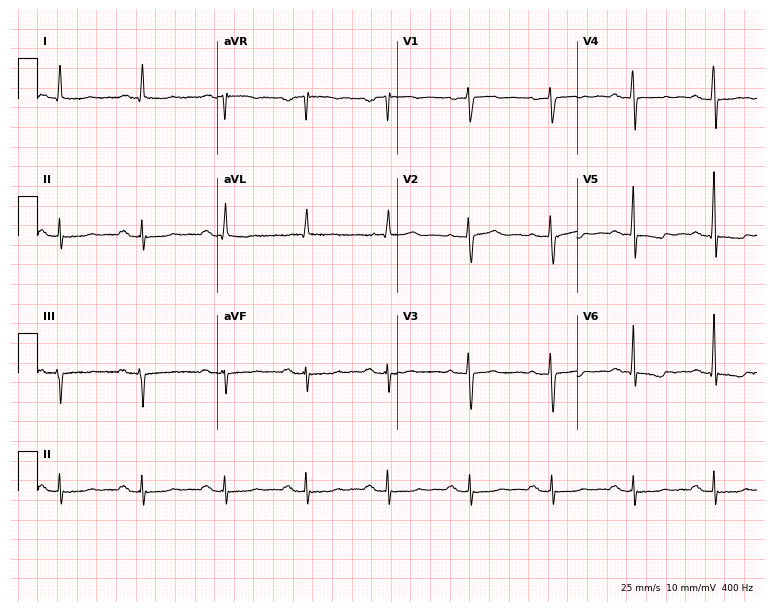
ECG (7.3-second recording at 400 Hz) — a woman, 70 years old. Screened for six findings — first-degree AV block, right bundle branch block, left bundle branch block, sinus bradycardia, atrial fibrillation, sinus tachycardia — none is recorded.